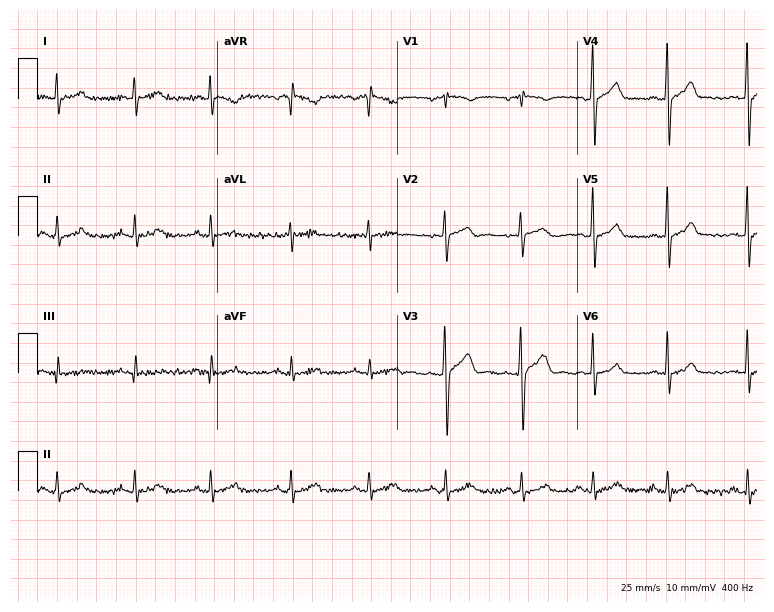
Standard 12-lead ECG recorded from a 38-year-old man (7.3-second recording at 400 Hz). Read as a normal ECG.